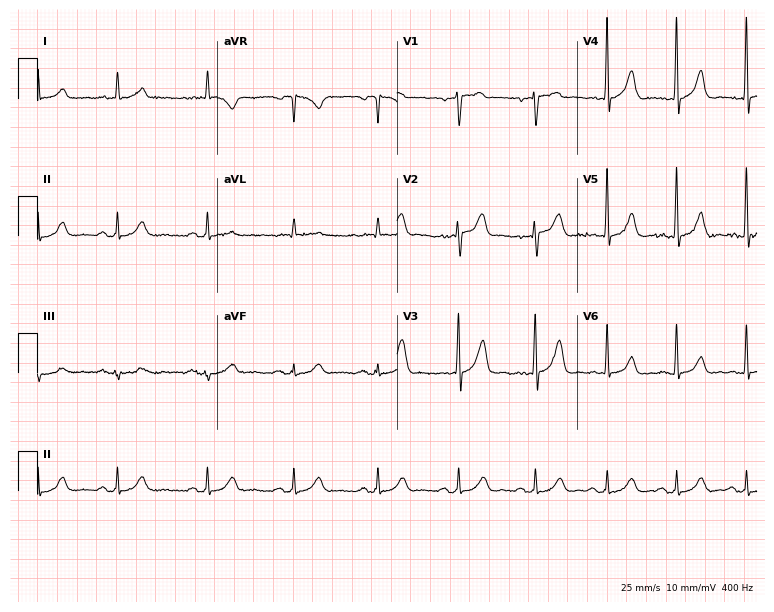
Electrocardiogram (7.3-second recording at 400 Hz), a 64-year-old male. Of the six screened findings (first-degree AV block, right bundle branch block, left bundle branch block, sinus bradycardia, atrial fibrillation, sinus tachycardia), none is recorded.